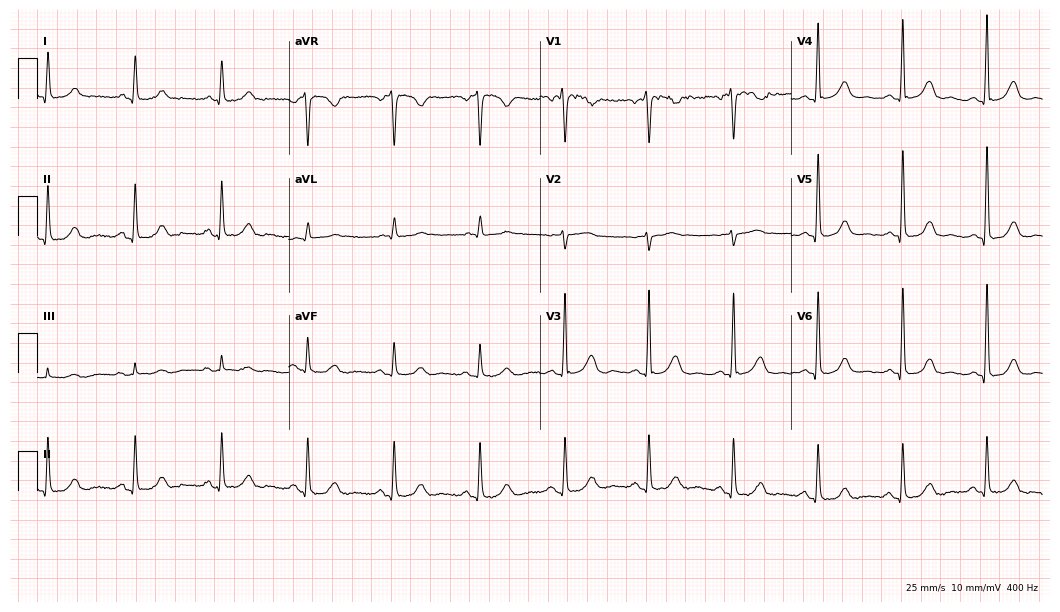
Resting 12-lead electrocardiogram (10.2-second recording at 400 Hz). Patient: a 66-year-old woman. None of these six findings is recorded: first-degree AV block, right bundle branch block, left bundle branch block, sinus bradycardia, atrial fibrillation, sinus tachycardia. Other findings, if any, are not listed.